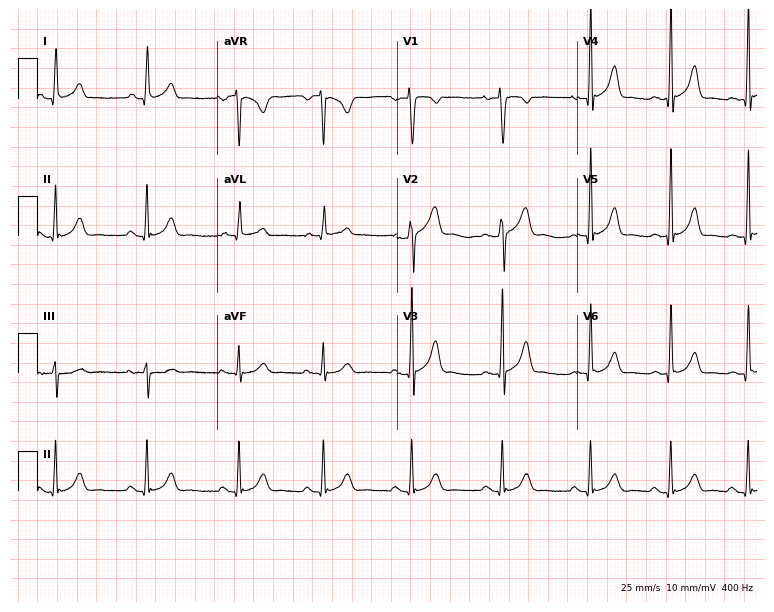
12-lead ECG from a female, 25 years old. No first-degree AV block, right bundle branch block, left bundle branch block, sinus bradycardia, atrial fibrillation or sinus tachycardia recorded for this tracing. Only these six findings were labelled.